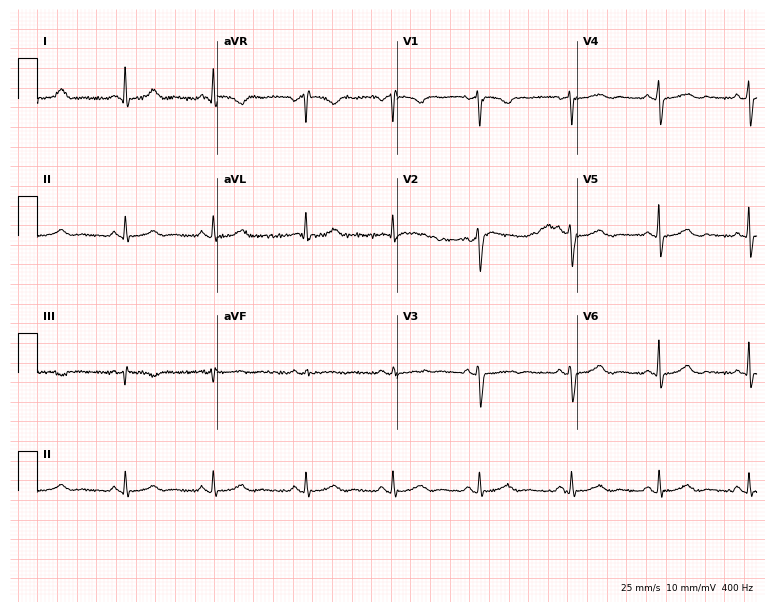
ECG — a 43-year-old woman. Labelled as a normal ECG.